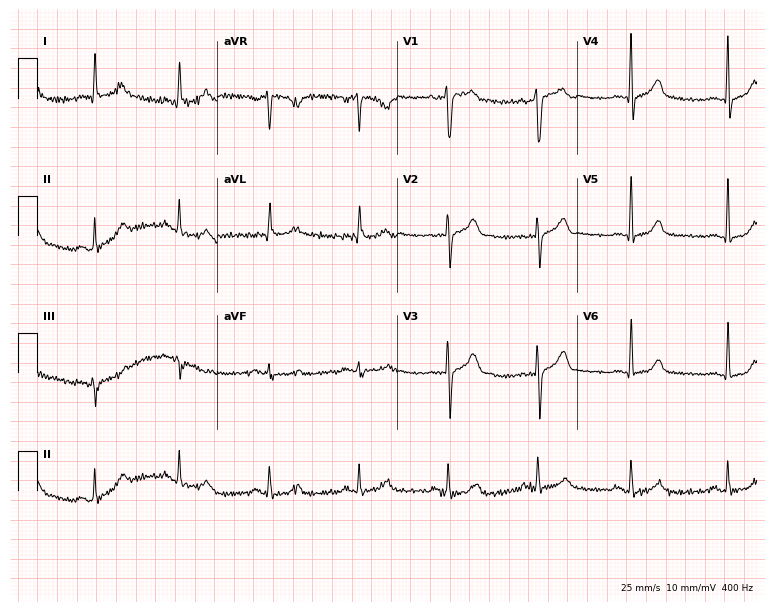
Electrocardiogram, a 36-year-old man. Overall reading on record: normal ECG.